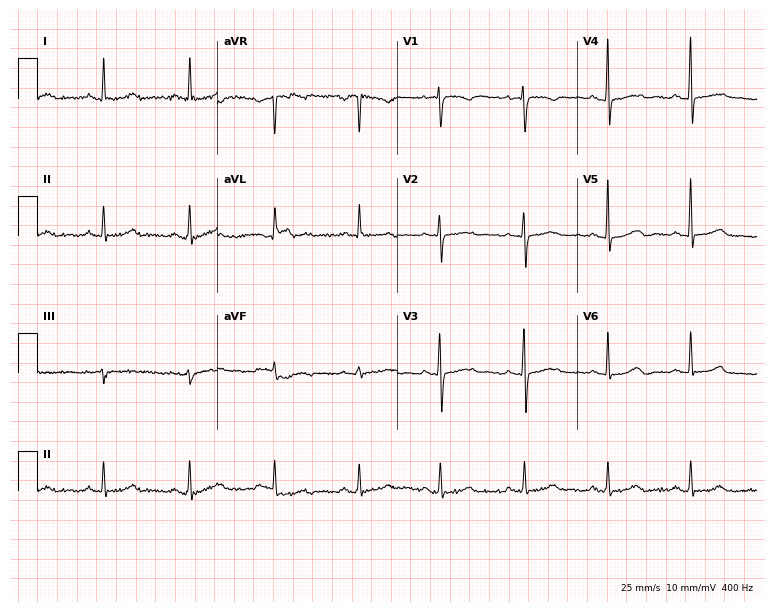
ECG (7.3-second recording at 400 Hz) — a 46-year-old female patient. Labelled as a normal ECG.